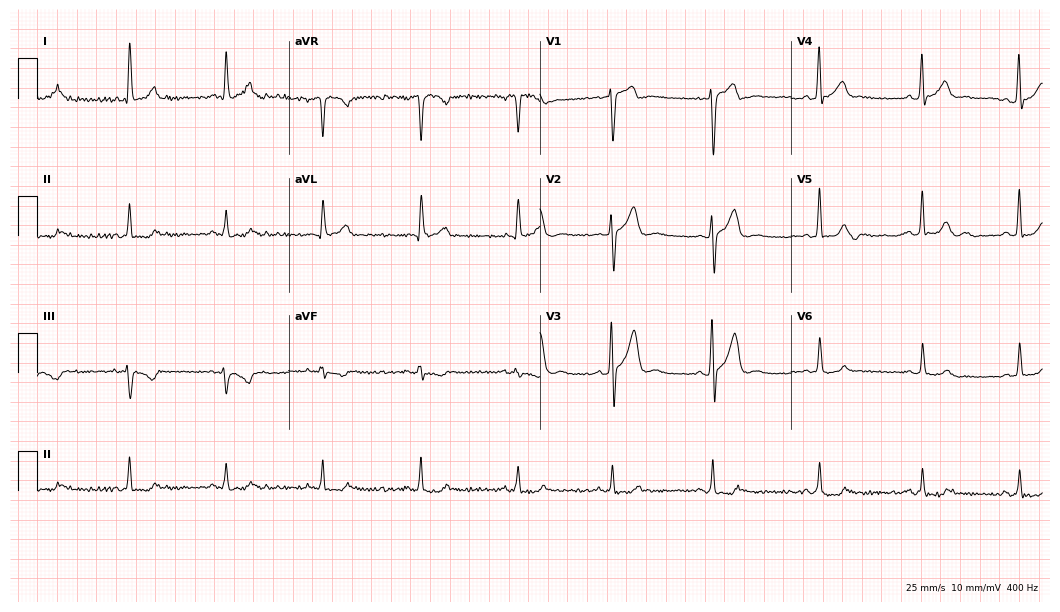
12-lead ECG from a male patient, 25 years old (10.2-second recording at 400 Hz). Recorded interpretation: within normal limits.